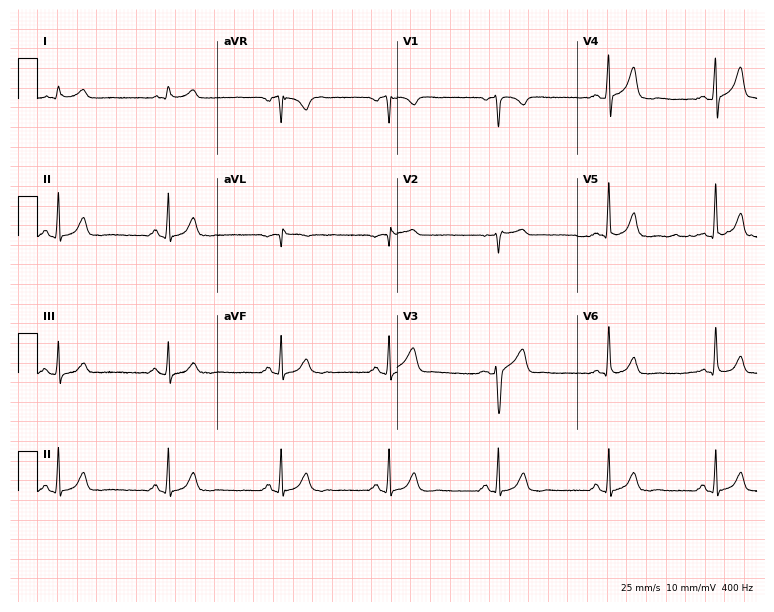
ECG (7.3-second recording at 400 Hz) — a male, 64 years old. Labelled as a normal ECG.